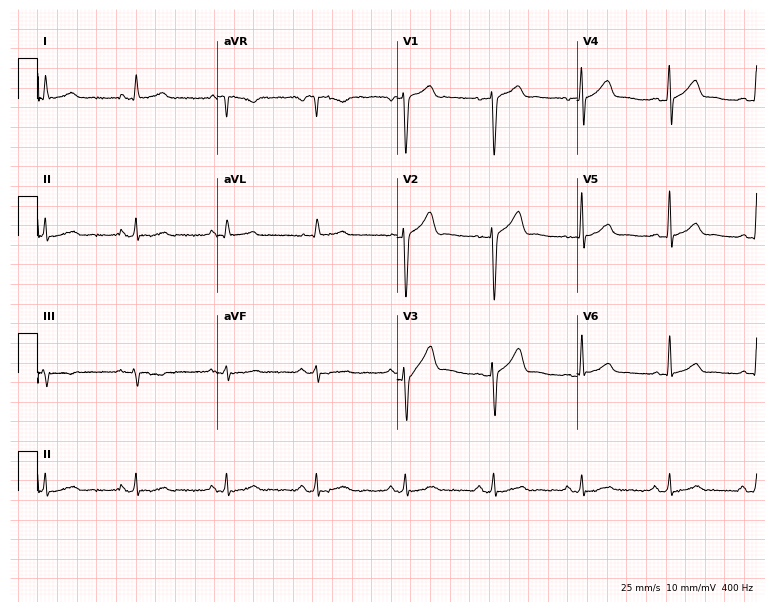
Resting 12-lead electrocardiogram (7.3-second recording at 400 Hz). Patient: a 61-year-old man. None of these six findings is recorded: first-degree AV block, right bundle branch block, left bundle branch block, sinus bradycardia, atrial fibrillation, sinus tachycardia. Only these six findings were labelled.